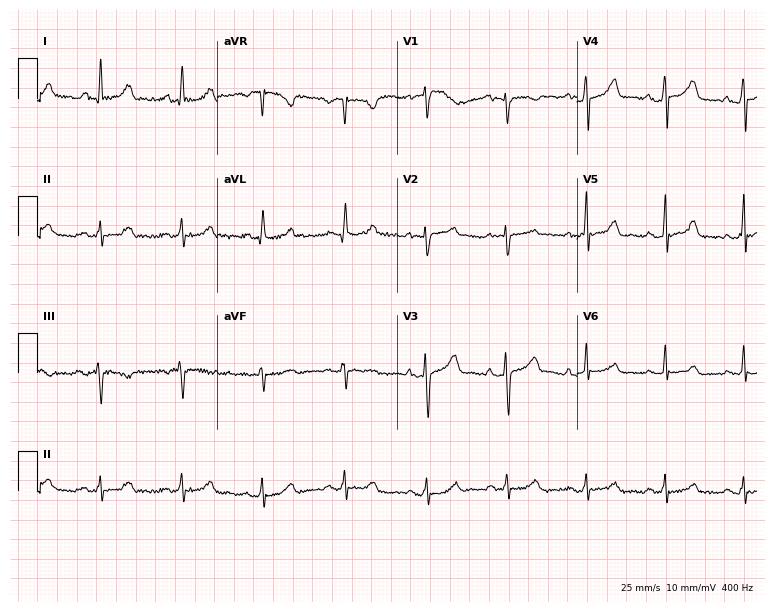
12-lead ECG from a female, 43 years old (7.3-second recording at 400 Hz). Recorded interpretation: within normal limits.